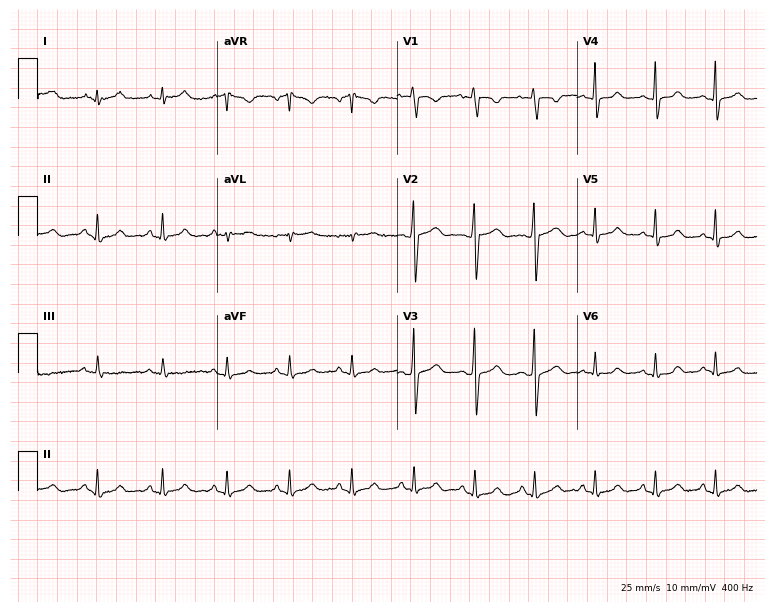
Standard 12-lead ECG recorded from a female, 25 years old (7.3-second recording at 400 Hz). Read as a normal ECG.